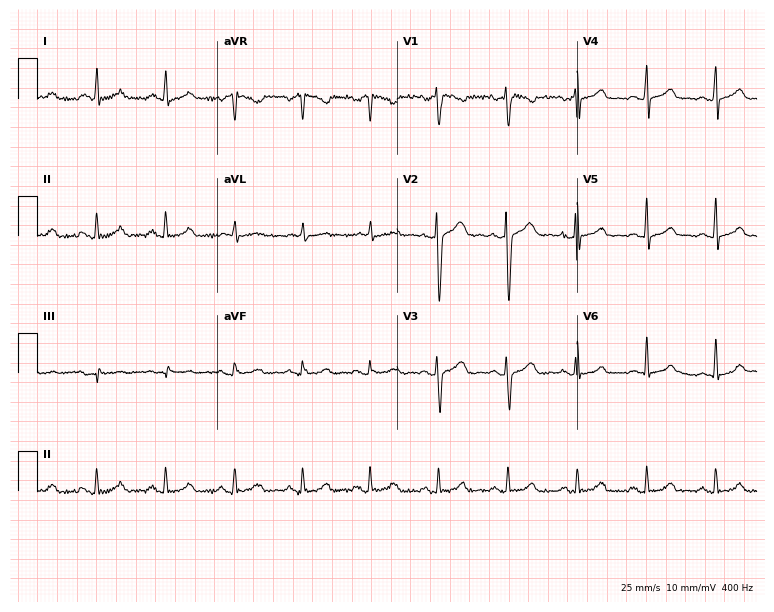
12-lead ECG from a male, 38 years old. Recorded interpretation: within normal limits.